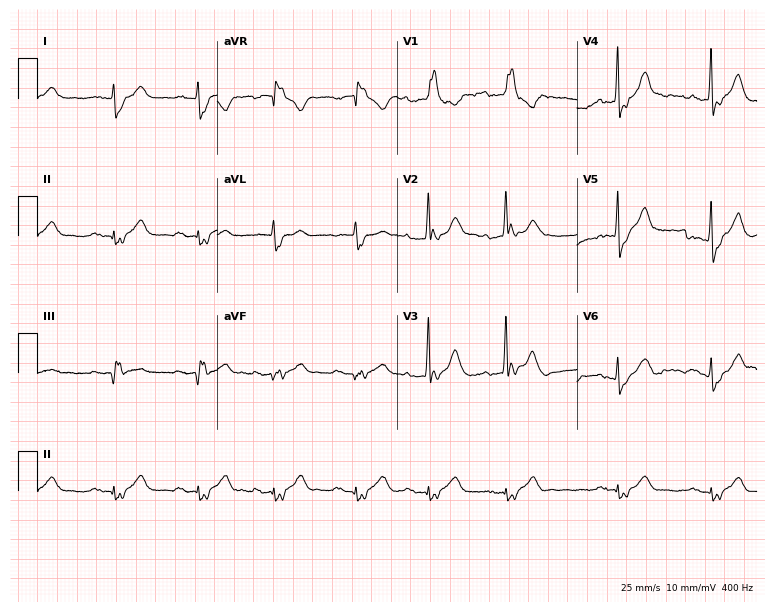
Electrocardiogram, a man, 81 years old. Interpretation includes right bundle branch block (RBBB).